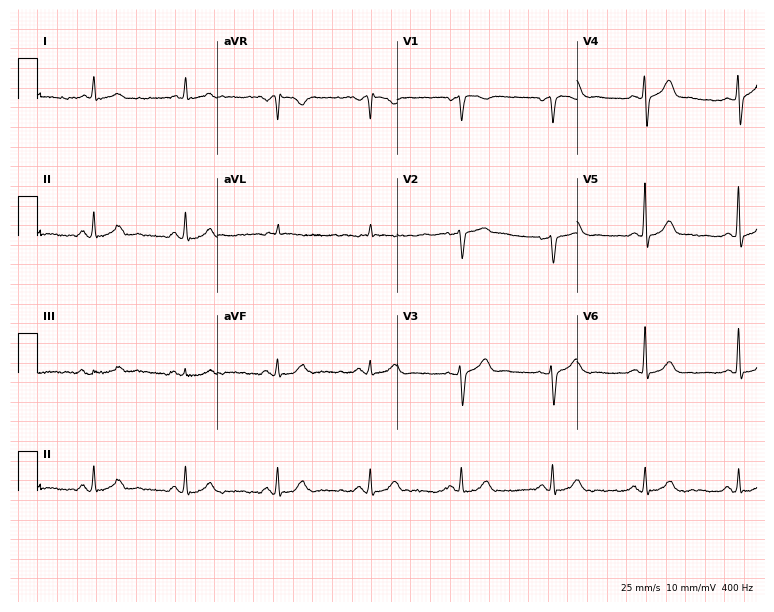
Resting 12-lead electrocardiogram (7.3-second recording at 400 Hz). Patient: a 58-year-old male. None of these six findings is recorded: first-degree AV block, right bundle branch block, left bundle branch block, sinus bradycardia, atrial fibrillation, sinus tachycardia.